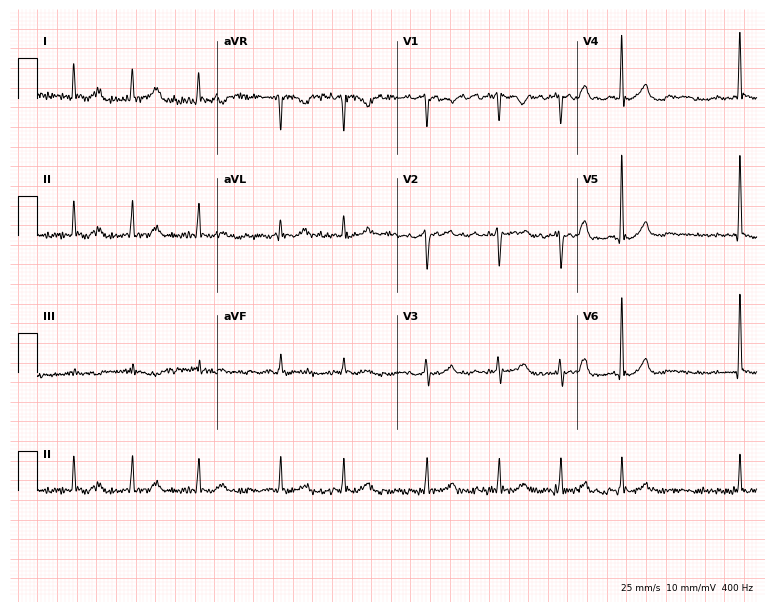
ECG (7.3-second recording at 400 Hz) — a 72-year-old male patient. Findings include atrial fibrillation.